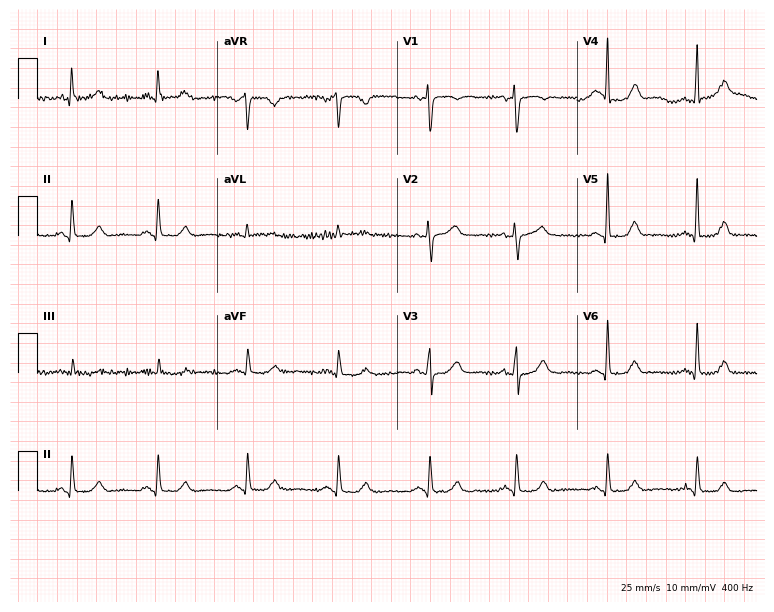
ECG (7.3-second recording at 400 Hz) — a female patient, 54 years old. Labelled as a normal ECG.